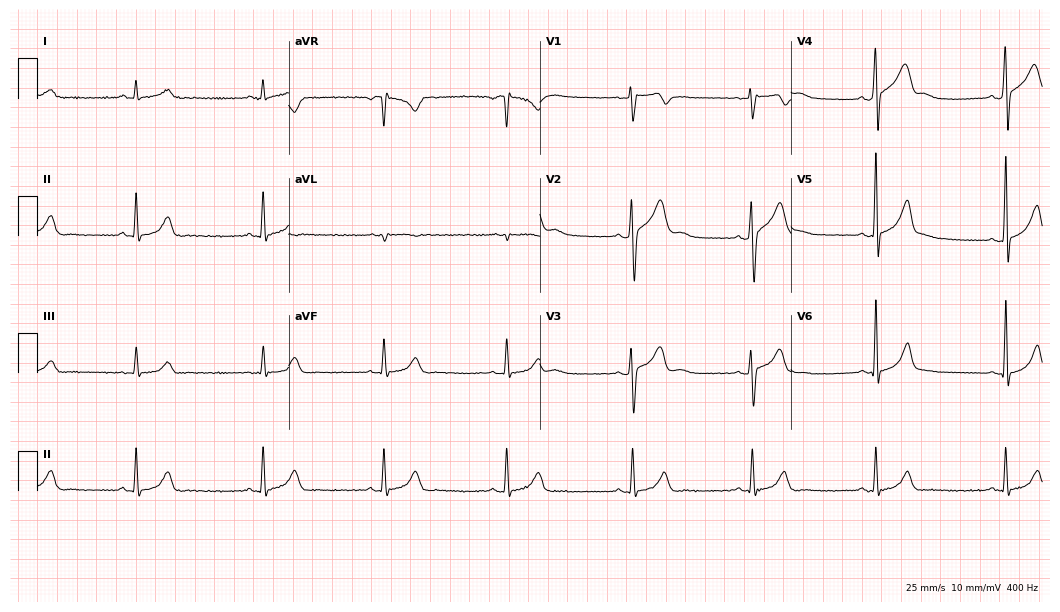
Standard 12-lead ECG recorded from a 31-year-old male. The tracing shows sinus bradycardia (a sinus rate of 50 beats per minute or less).